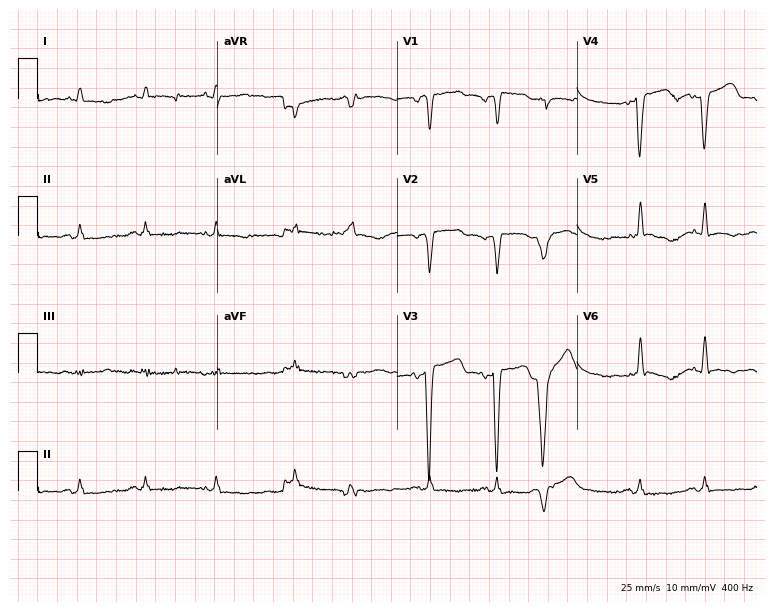
12-lead ECG from a male, 49 years old (7.3-second recording at 400 Hz). No first-degree AV block, right bundle branch block (RBBB), left bundle branch block (LBBB), sinus bradycardia, atrial fibrillation (AF) or sinus tachycardia recorded for this tracing. Other findings, if any, are not listed.